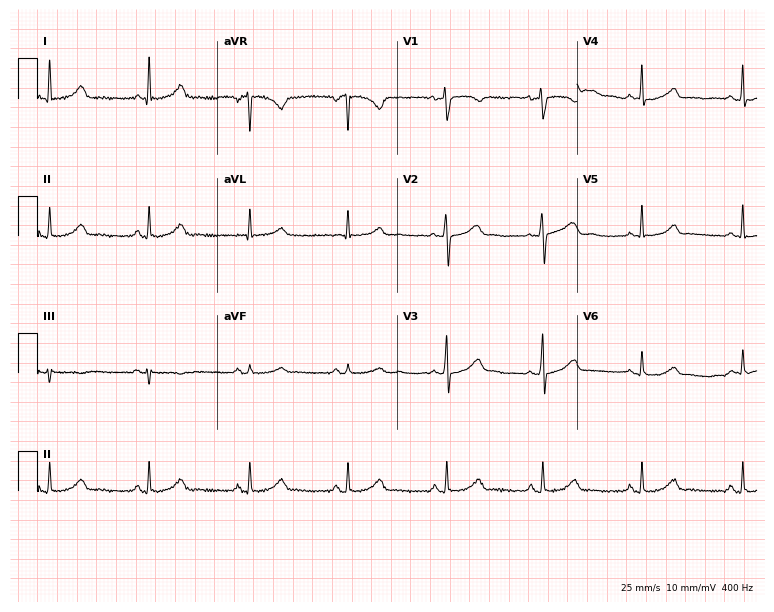
Electrocardiogram (7.3-second recording at 400 Hz), a woman, 50 years old. Of the six screened findings (first-degree AV block, right bundle branch block (RBBB), left bundle branch block (LBBB), sinus bradycardia, atrial fibrillation (AF), sinus tachycardia), none is recorded. Other findings, if any, are not listed.